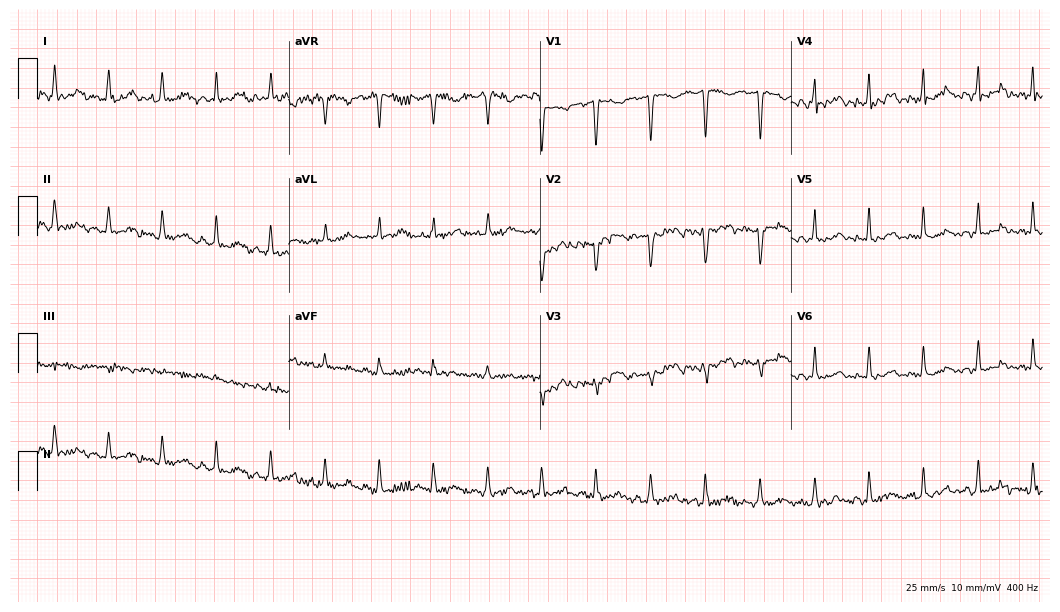
12-lead ECG from a 33-year-old woman. Screened for six findings — first-degree AV block, right bundle branch block, left bundle branch block, sinus bradycardia, atrial fibrillation, sinus tachycardia — none is recorded.